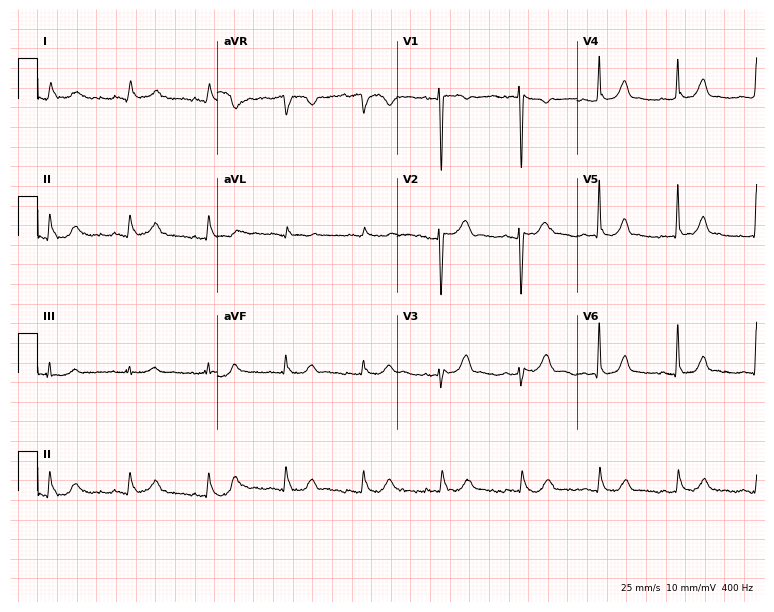
Electrocardiogram, a woman, 34 years old. Of the six screened findings (first-degree AV block, right bundle branch block, left bundle branch block, sinus bradycardia, atrial fibrillation, sinus tachycardia), none is recorded. Other findings, if any, are not listed.